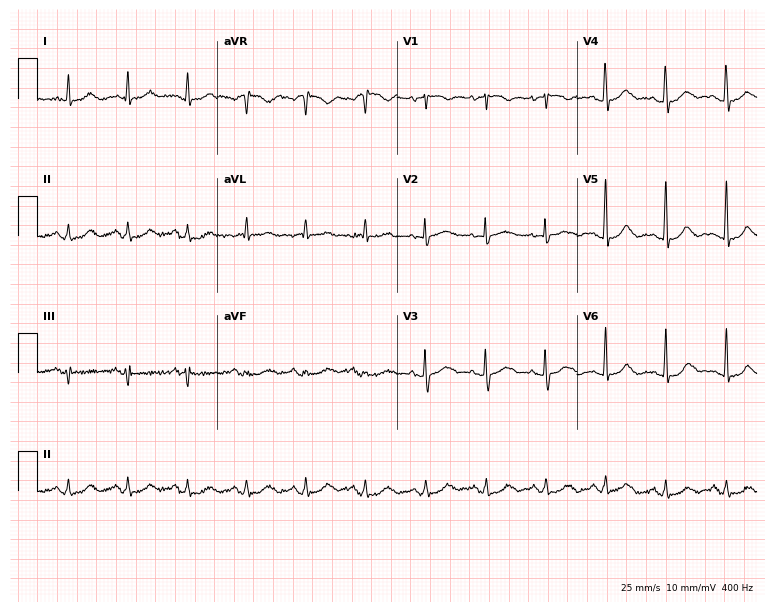
12-lead ECG from a 57-year-old woman. Labelled as a normal ECG.